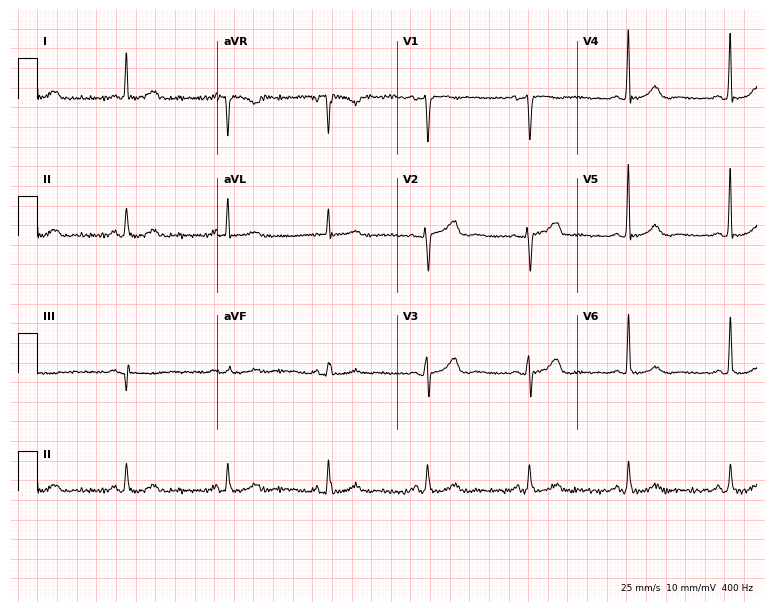
12-lead ECG (7.3-second recording at 400 Hz) from a female patient, 61 years old. Labelled as a normal ECG.